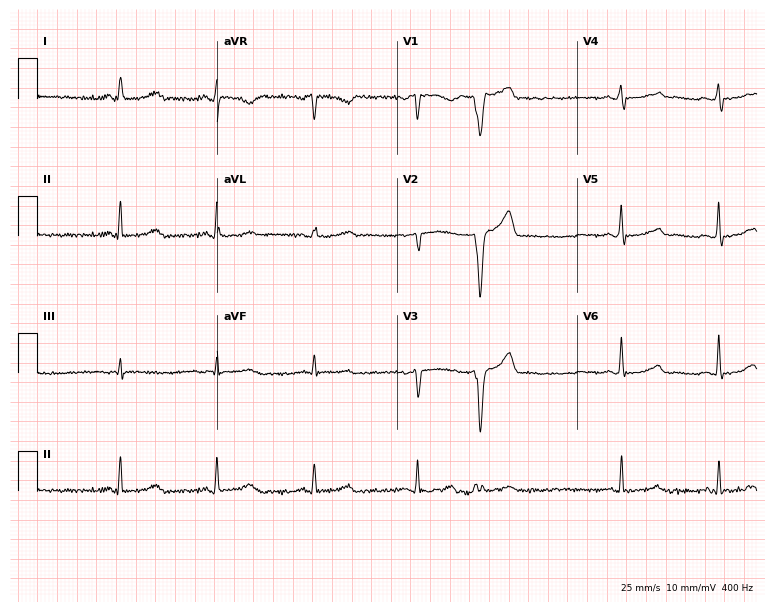
12-lead ECG from a 50-year-old female patient. Screened for six findings — first-degree AV block, right bundle branch block, left bundle branch block, sinus bradycardia, atrial fibrillation, sinus tachycardia — none is recorded. Findings outside these six are not listed.